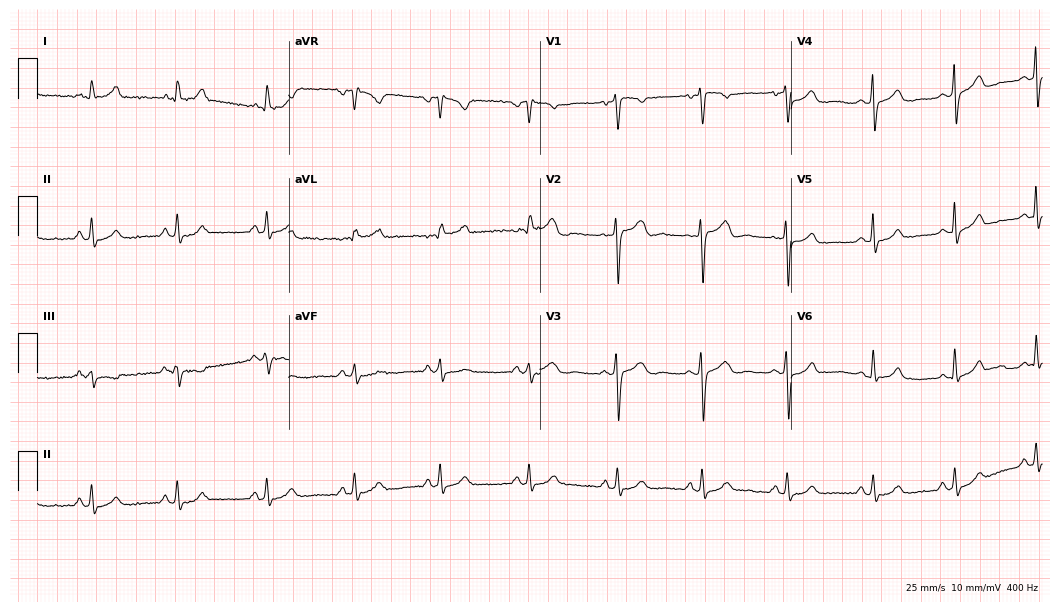
Standard 12-lead ECG recorded from a female patient, 42 years old. Read as a normal ECG.